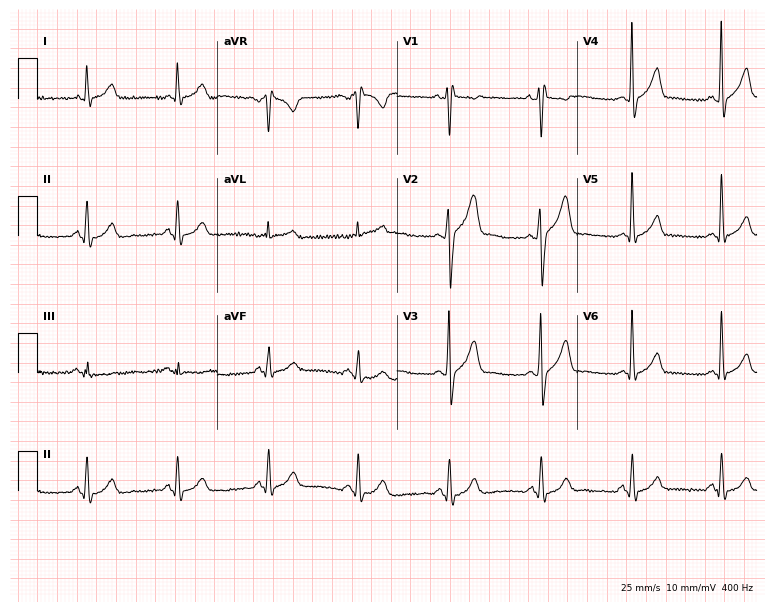
12-lead ECG from a 50-year-old male (7.3-second recording at 400 Hz). No first-degree AV block, right bundle branch block (RBBB), left bundle branch block (LBBB), sinus bradycardia, atrial fibrillation (AF) or sinus tachycardia recorded for this tracing.